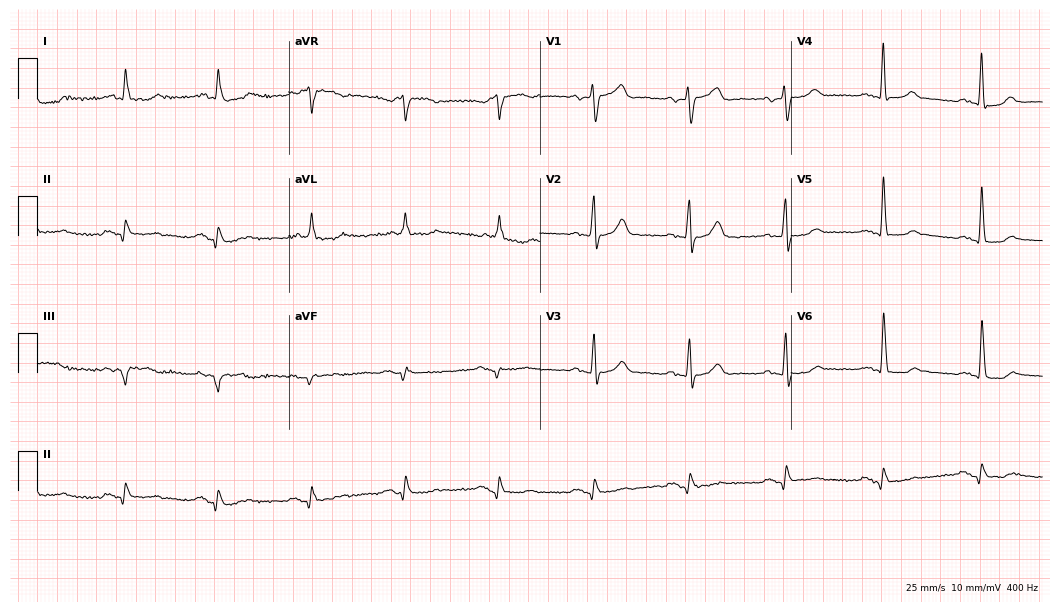
Standard 12-lead ECG recorded from a 63-year-old male patient (10.2-second recording at 400 Hz). None of these six findings is recorded: first-degree AV block, right bundle branch block (RBBB), left bundle branch block (LBBB), sinus bradycardia, atrial fibrillation (AF), sinus tachycardia.